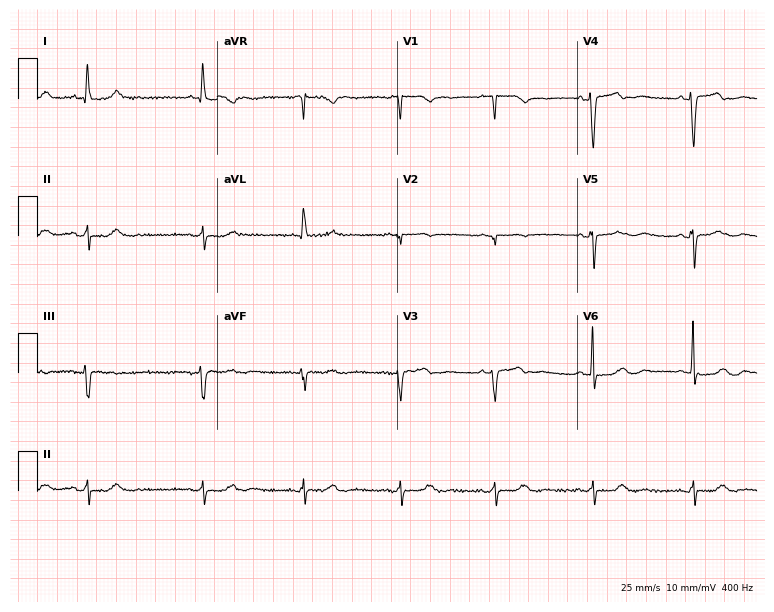
12-lead ECG from a 74-year-old woman. No first-degree AV block, right bundle branch block (RBBB), left bundle branch block (LBBB), sinus bradycardia, atrial fibrillation (AF) or sinus tachycardia recorded for this tracing.